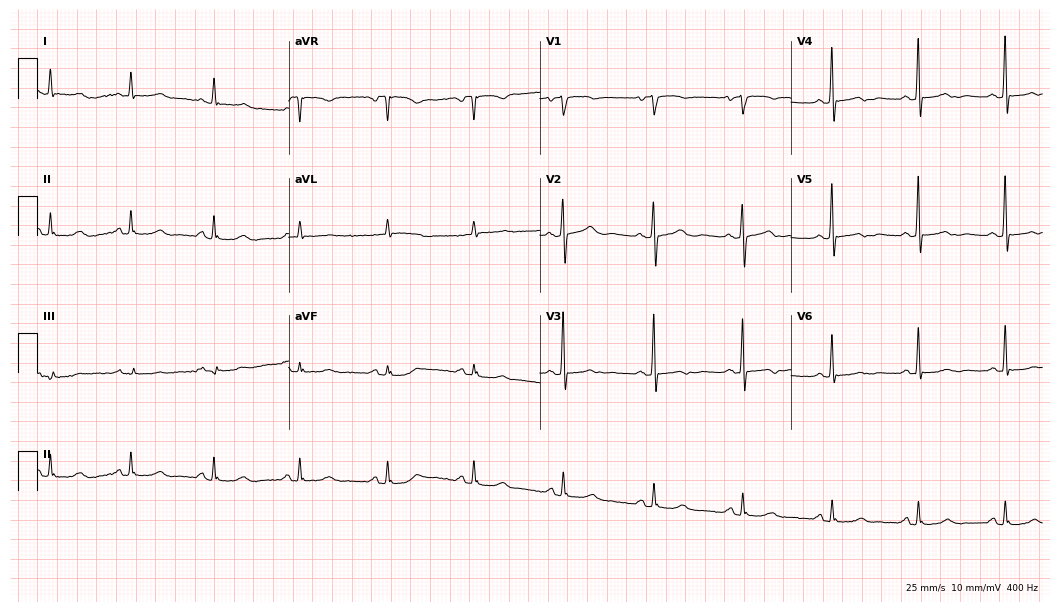
Standard 12-lead ECG recorded from a woman, 68 years old. Read as a normal ECG.